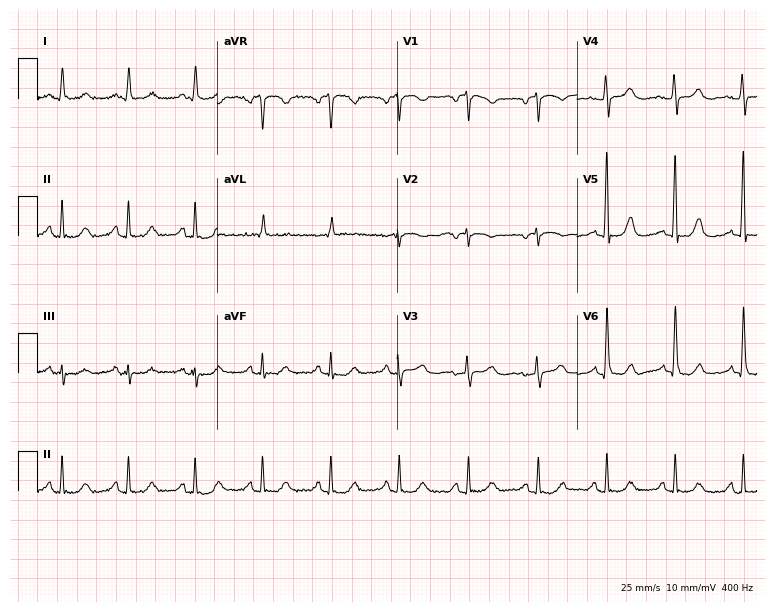
Standard 12-lead ECG recorded from an 82-year-old woman. Read as a normal ECG.